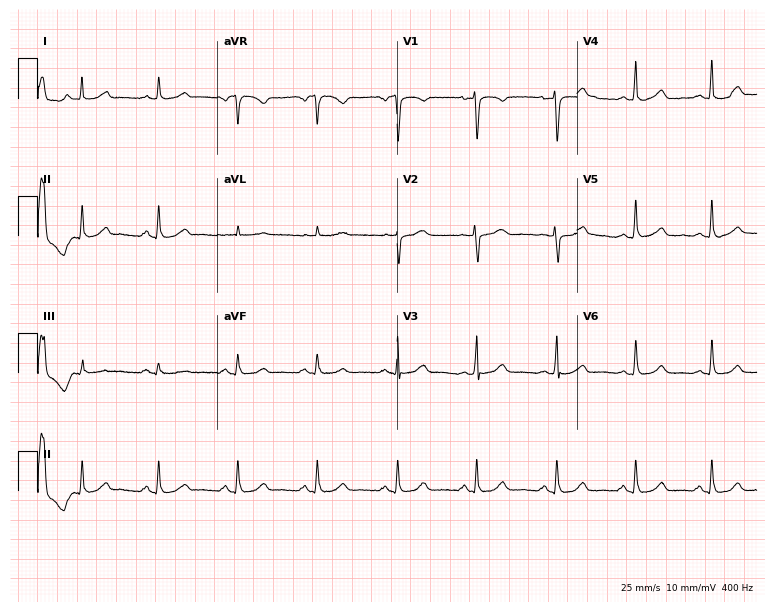
12-lead ECG from a woman, 50 years old. Screened for six findings — first-degree AV block, right bundle branch block, left bundle branch block, sinus bradycardia, atrial fibrillation, sinus tachycardia — none is recorded. Findings outside these six are not listed.